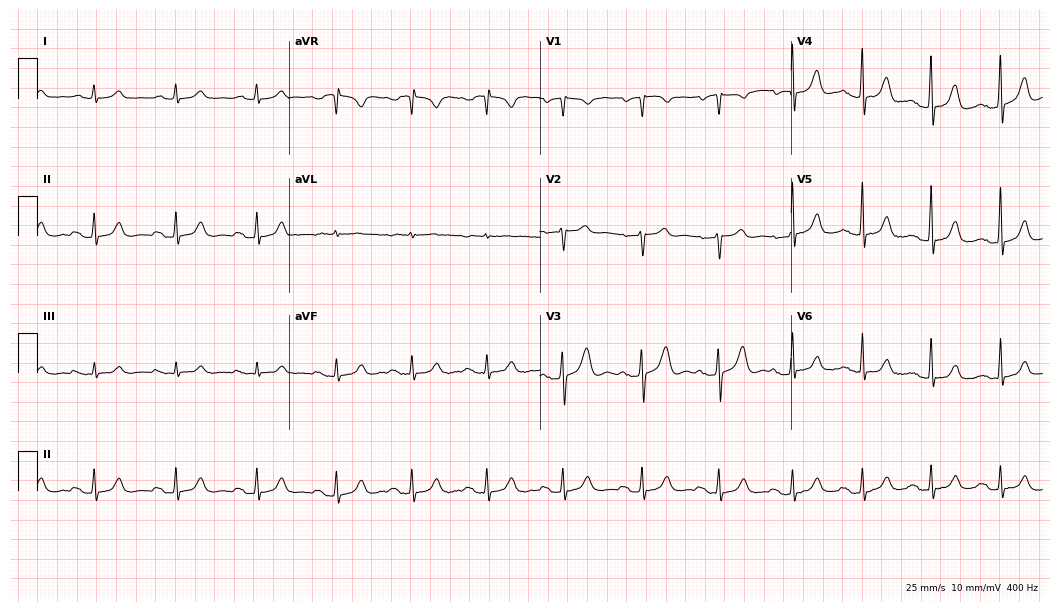
ECG (10.2-second recording at 400 Hz) — a male, 73 years old. Labelled as a normal ECG.